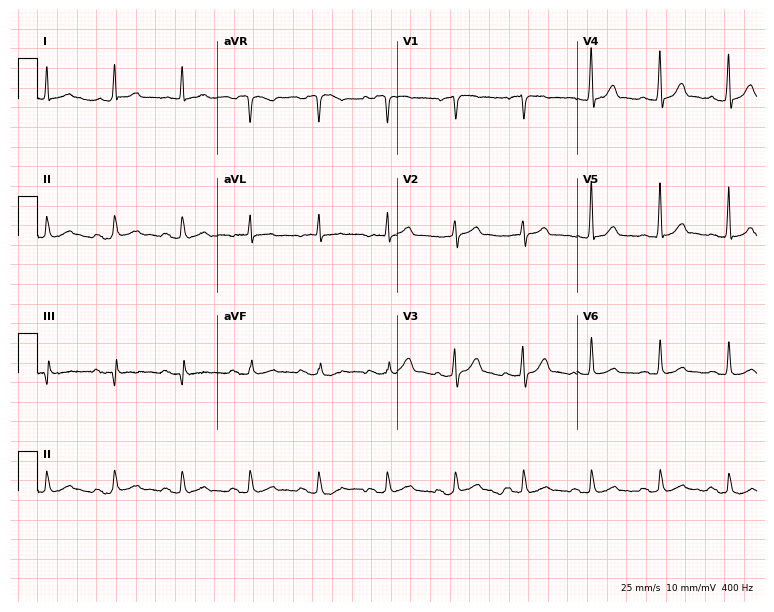
ECG — a male patient, 59 years old. Labelled as a normal ECG.